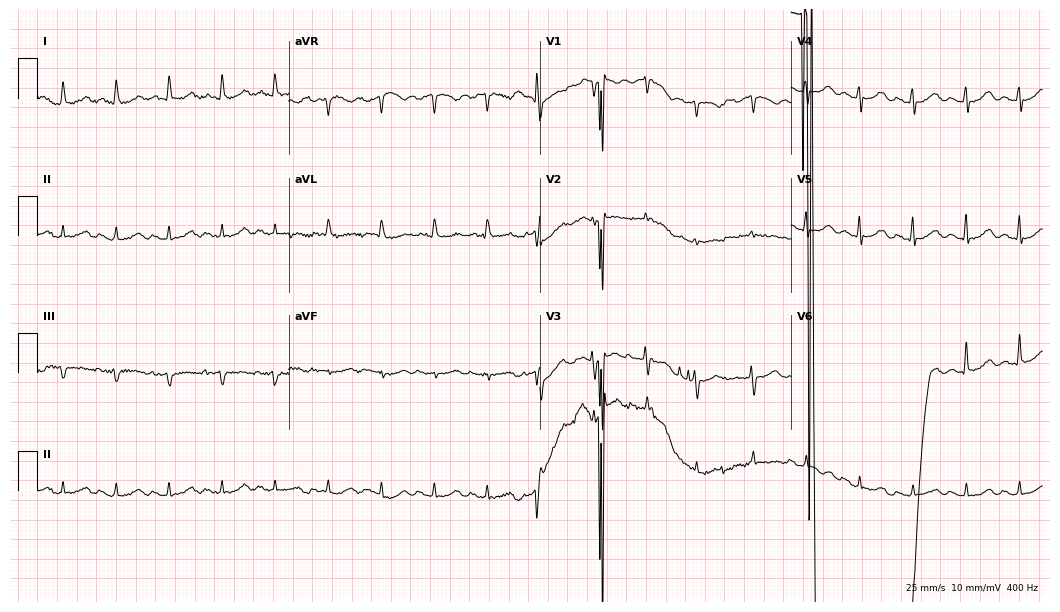
ECG — an 81-year-old female patient. Screened for six findings — first-degree AV block, right bundle branch block (RBBB), left bundle branch block (LBBB), sinus bradycardia, atrial fibrillation (AF), sinus tachycardia — none is recorded. Findings outside these six are not listed.